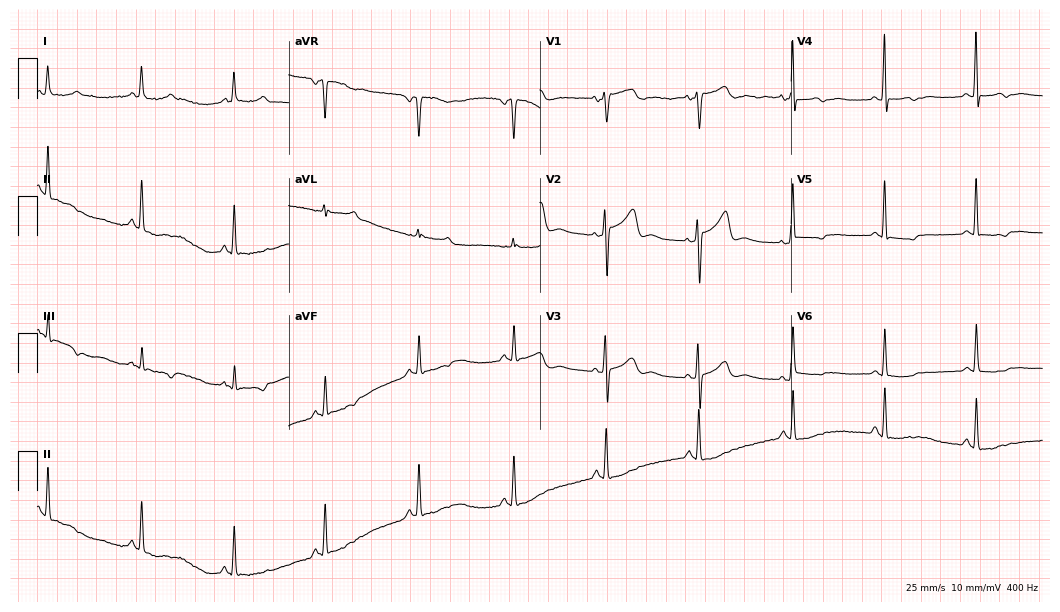
ECG — a male, 63 years old. Screened for six findings — first-degree AV block, right bundle branch block (RBBB), left bundle branch block (LBBB), sinus bradycardia, atrial fibrillation (AF), sinus tachycardia — none is recorded. Findings outside these six are not listed.